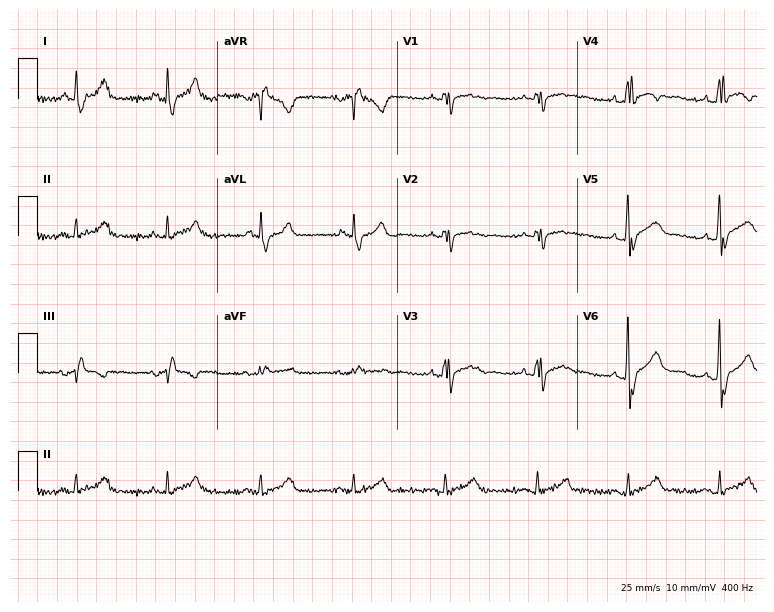
Standard 12-lead ECG recorded from a 62-year-old male patient (7.3-second recording at 400 Hz). The tracing shows right bundle branch block (RBBB).